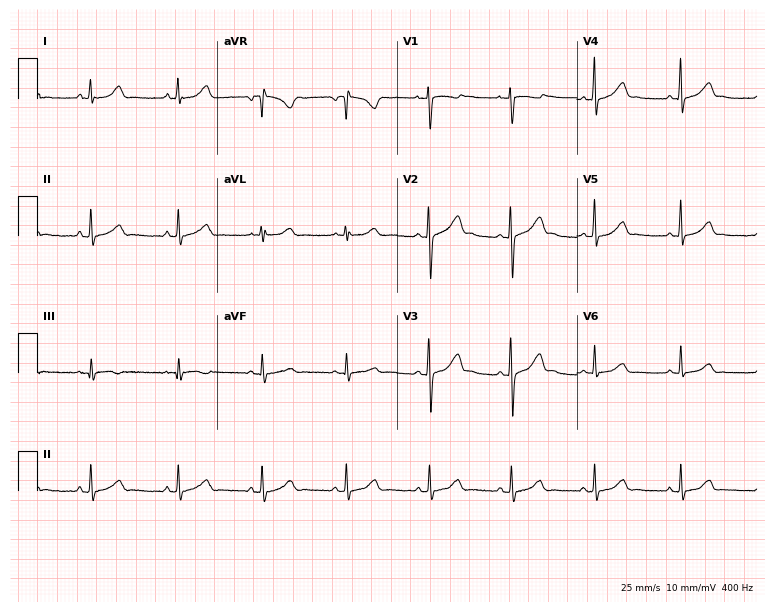
12-lead ECG from a woman, 19 years old. Labelled as a normal ECG.